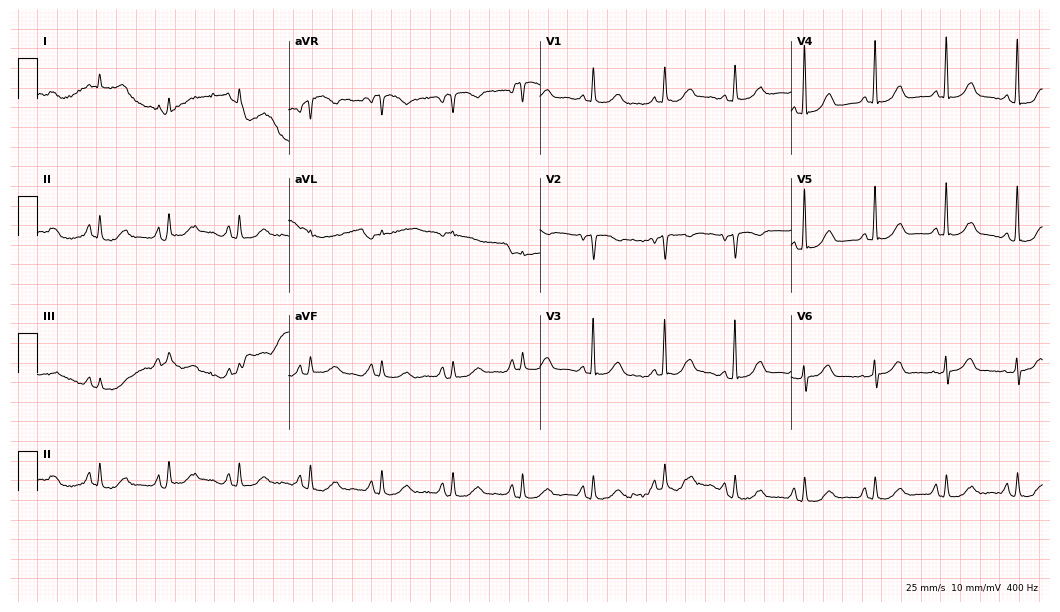
Resting 12-lead electrocardiogram (10.2-second recording at 400 Hz). Patient: a female, 84 years old. None of these six findings is recorded: first-degree AV block, right bundle branch block (RBBB), left bundle branch block (LBBB), sinus bradycardia, atrial fibrillation (AF), sinus tachycardia.